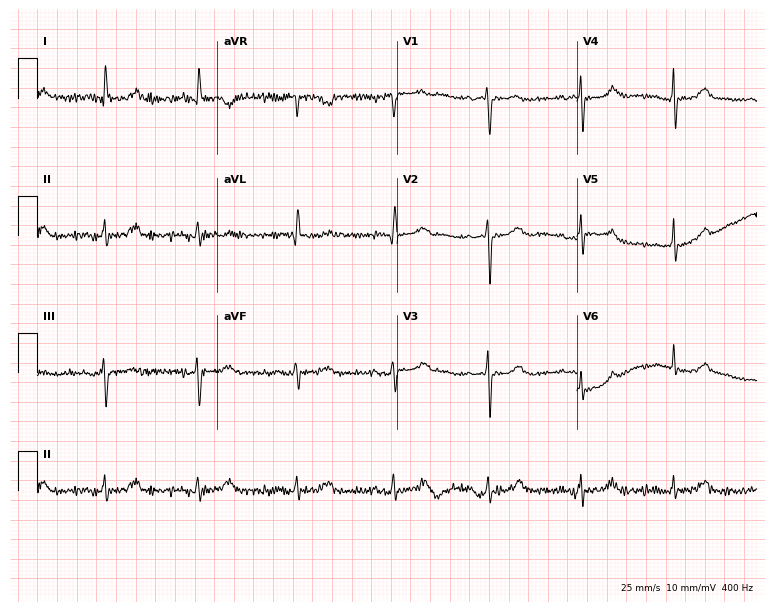
Electrocardiogram, a 75-year-old female patient. Of the six screened findings (first-degree AV block, right bundle branch block (RBBB), left bundle branch block (LBBB), sinus bradycardia, atrial fibrillation (AF), sinus tachycardia), none is recorded.